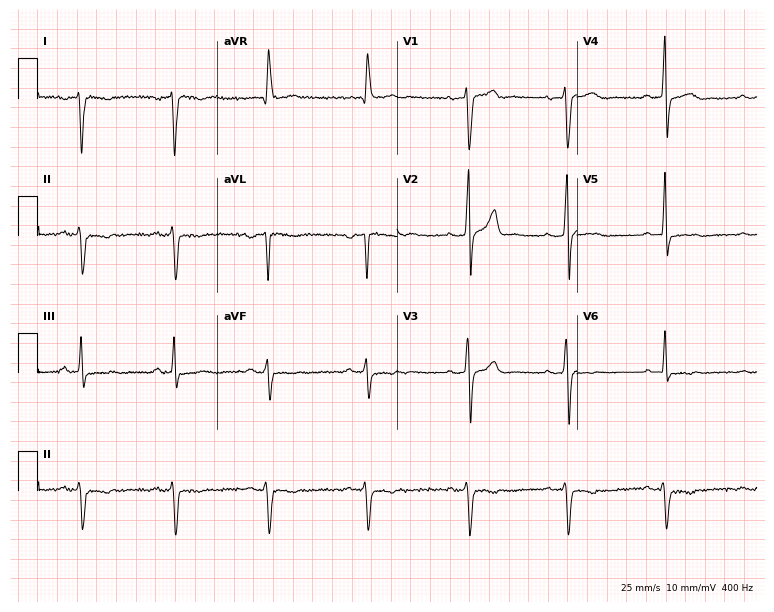
Resting 12-lead electrocardiogram (7.3-second recording at 400 Hz). Patient: a male, 61 years old. None of these six findings is recorded: first-degree AV block, right bundle branch block (RBBB), left bundle branch block (LBBB), sinus bradycardia, atrial fibrillation (AF), sinus tachycardia. Findings outside these six are not listed.